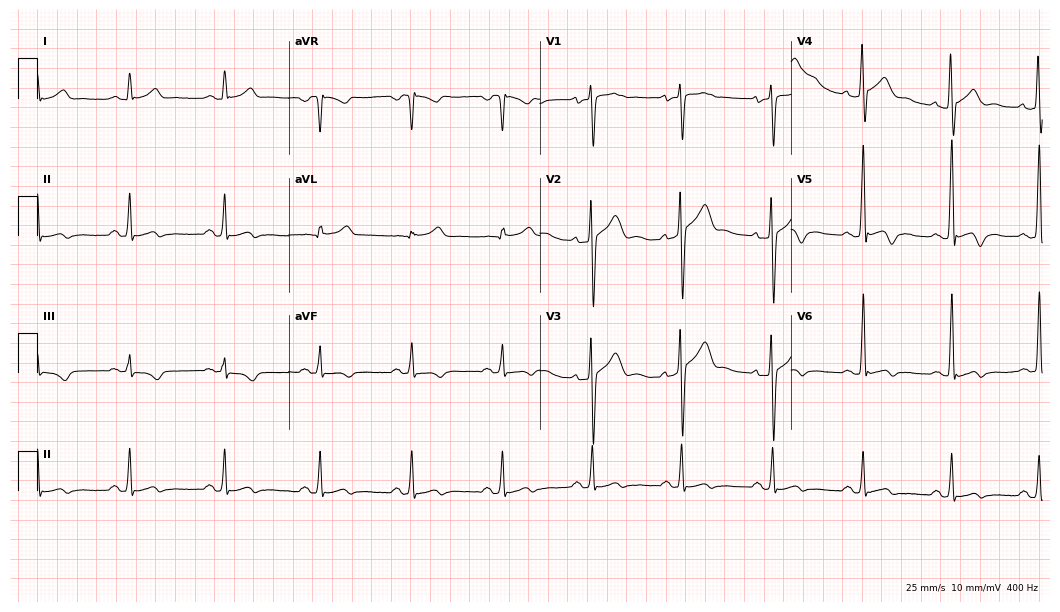
ECG (10.2-second recording at 400 Hz) — a 26-year-old man. Screened for six findings — first-degree AV block, right bundle branch block, left bundle branch block, sinus bradycardia, atrial fibrillation, sinus tachycardia — none is recorded. Findings outside these six are not listed.